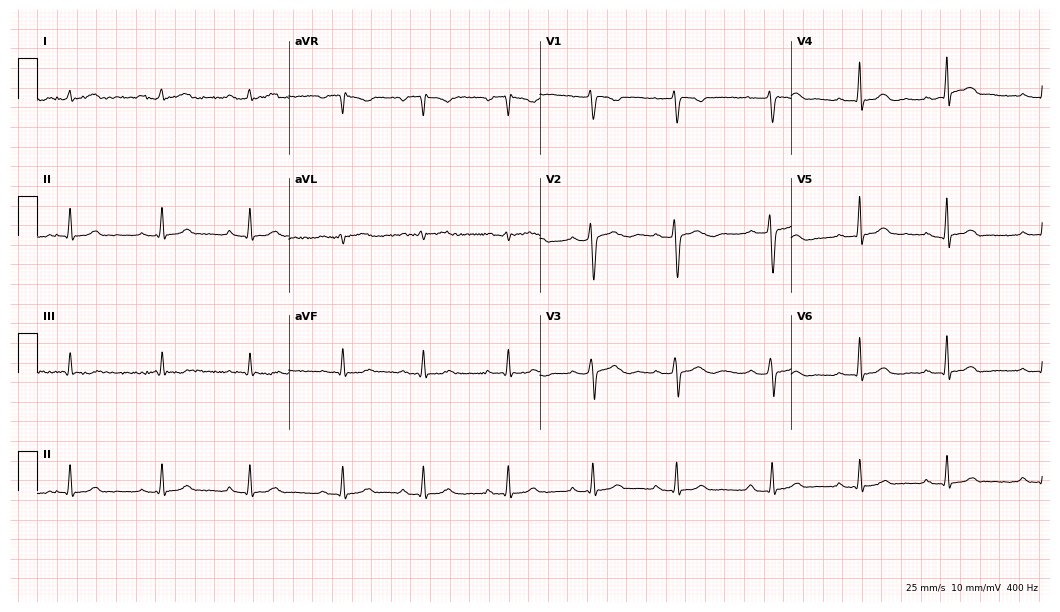
ECG (10.2-second recording at 400 Hz) — a 35-year-old female. Screened for six findings — first-degree AV block, right bundle branch block, left bundle branch block, sinus bradycardia, atrial fibrillation, sinus tachycardia — none is recorded.